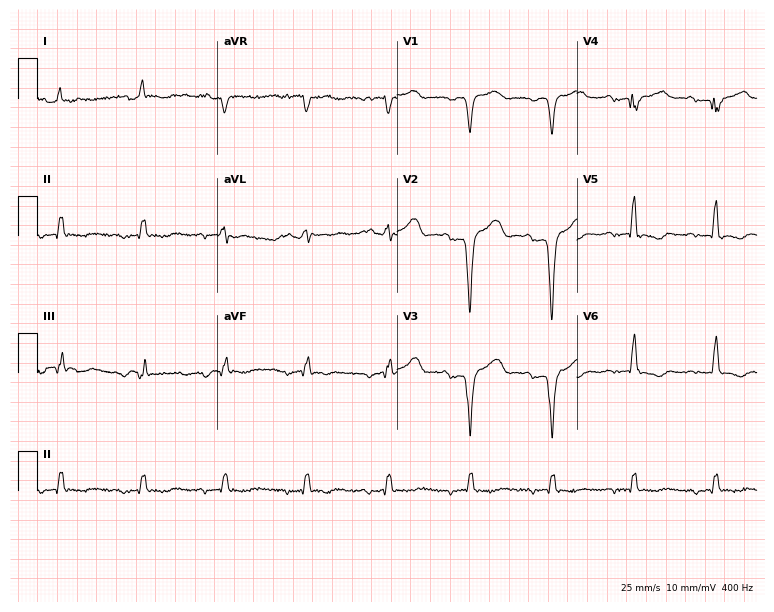
Standard 12-lead ECG recorded from a male patient, 69 years old. None of these six findings is recorded: first-degree AV block, right bundle branch block, left bundle branch block, sinus bradycardia, atrial fibrillation, sinus tachycardia. Only these six findings were labelled.